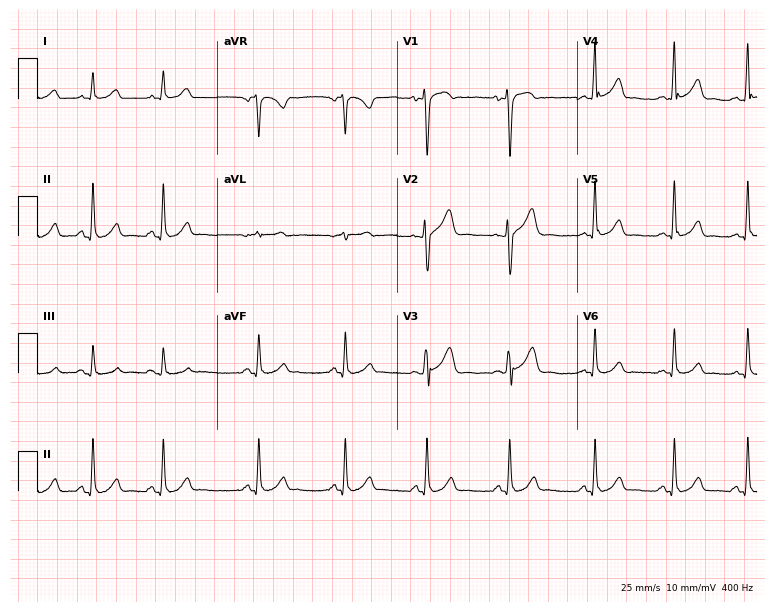
12-lead ECG from a 31-year-old man. Screened for six findings — first-degree AV block, right bundle branch block, left bundle branch block, sinus bradycardia, atrial fibrillation, sinus tachycardia — none is recorded. Findings outside these six are not listed.